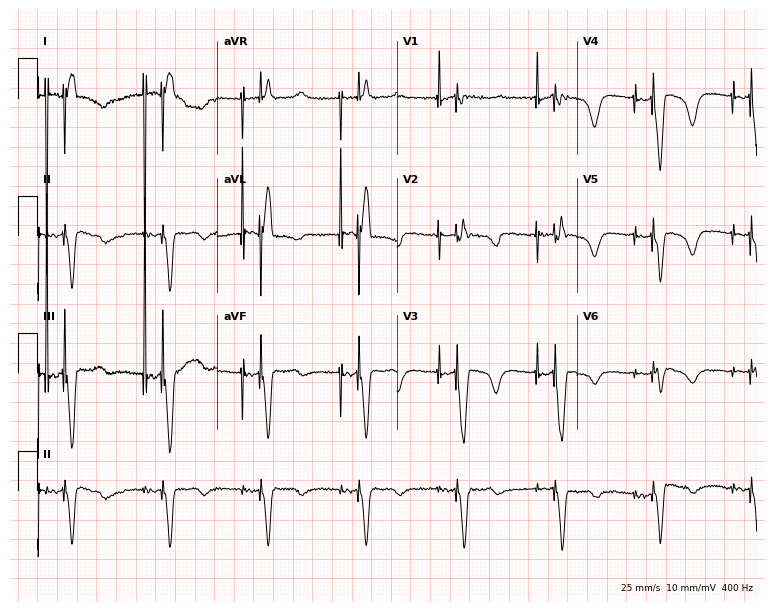
Resting 12-lead electrocardiogram (7.3-second recording at 400 Hz). Patient: a female, 80 years old. None of these six findings is recorded: first-degree AV block, right bundle branch block (RBBB), left bundle branch block (LBBB), sinus bradycardia, atrial fibrillation (AF), sinus tachycardia. Only these six findings were labelled.